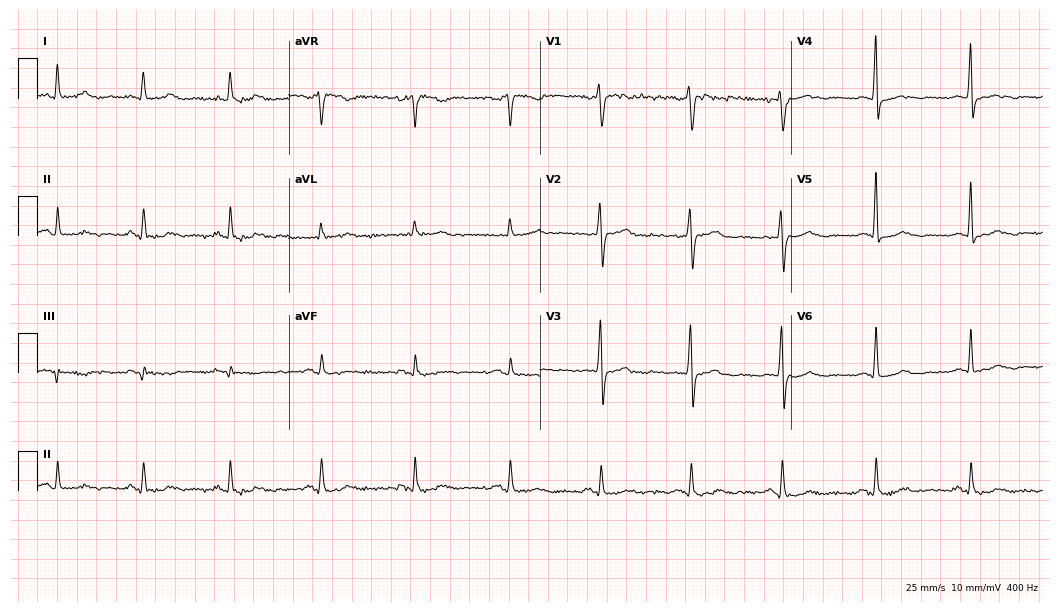
ECG — a 63-year-old female. Screened for six findings — first-degree AV block, right bundle branch block (RBBB), left bundle branch block (LBBB), sinus bradycardia, atrial fibrillation (AF), sinus tachycardia — none is recorded.